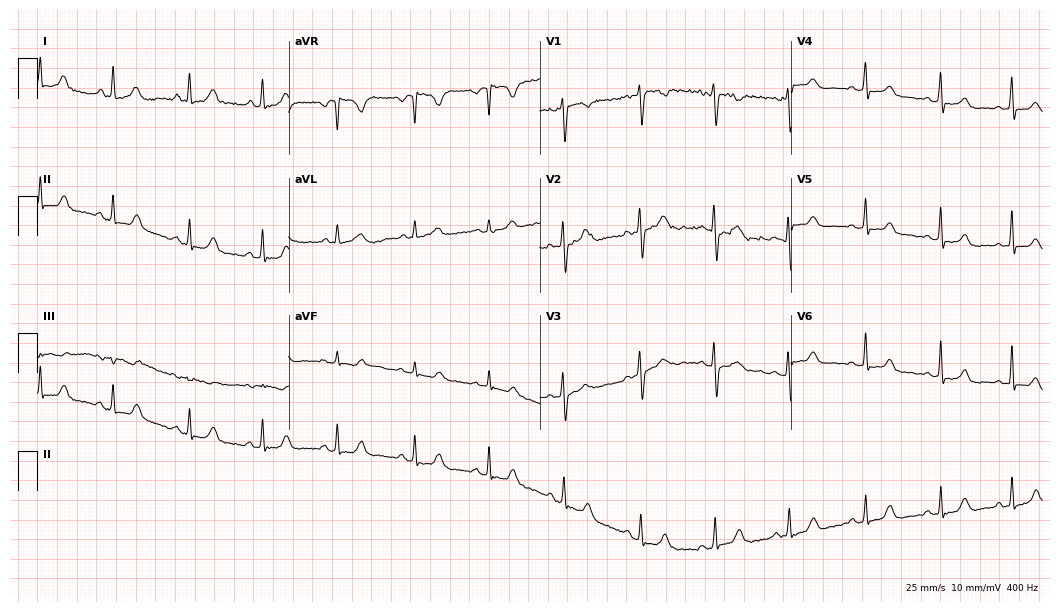
Resting 12-lead electrocardiogram (10.2-second recording at 400 Hz). Patient: a female, 29 years old. Read as a normal ECG.